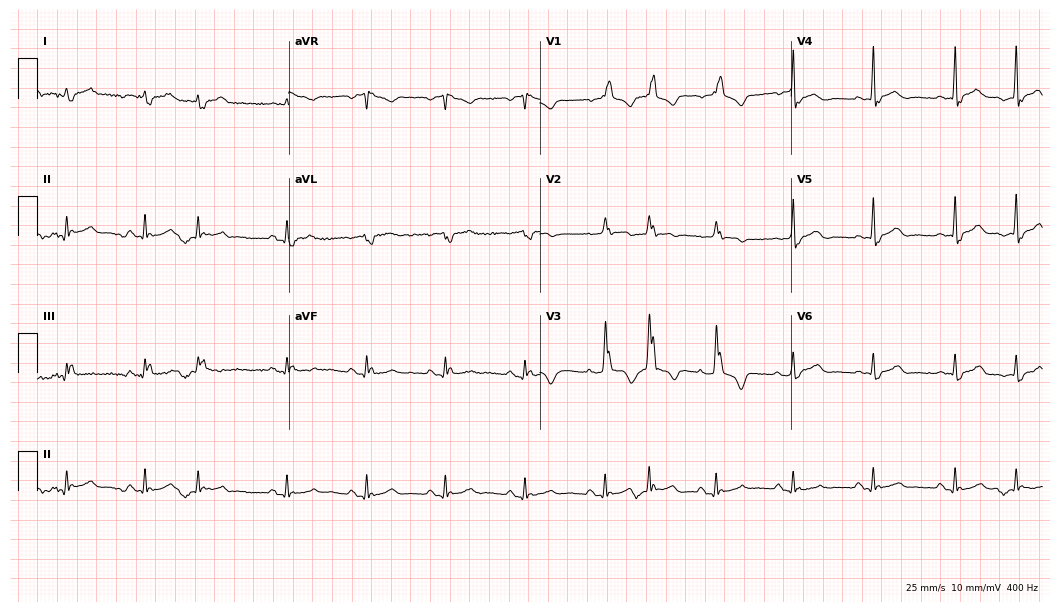
Standard 12-lead ECG recorded from a man, 85 years old (10.2-second recording at 400 Hz). The tracing shows right bundle branch block (RBBB).